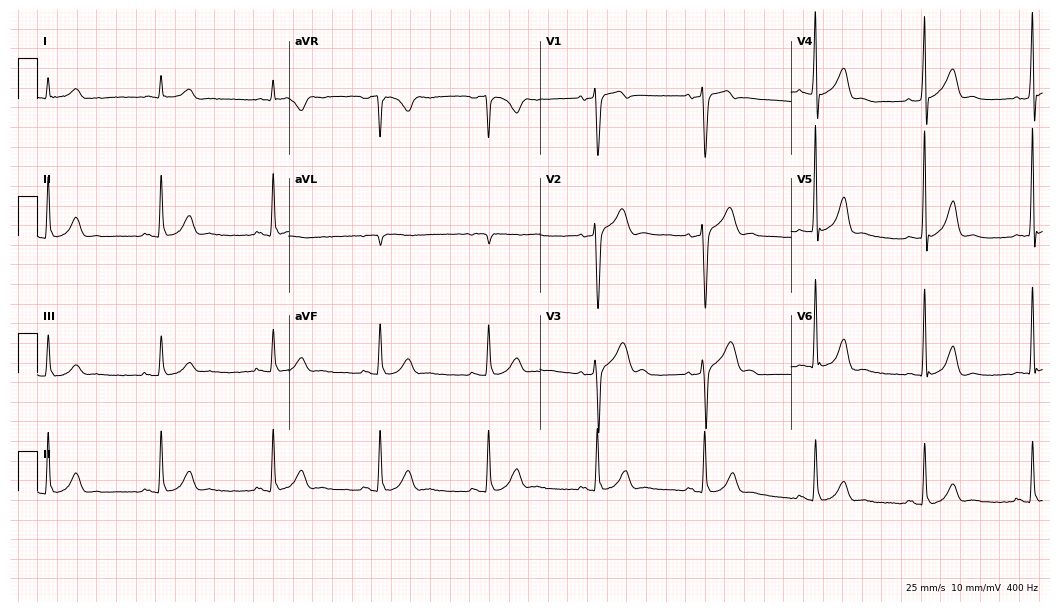
12-lead ECG (10.2-second recording at 400 Hz) from a male patient, 58 years old. Labelled as a normal ECG.